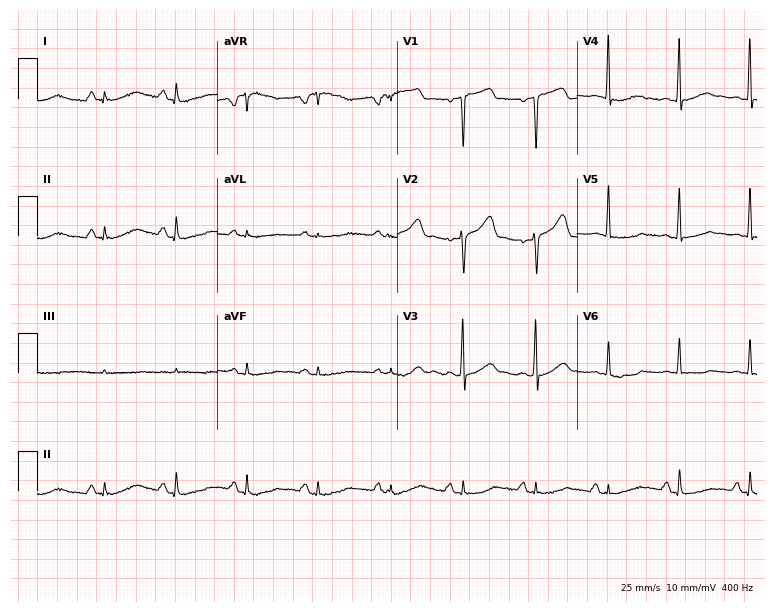
ECG (7.3-second recording at 400 Hz) — a woman, 63 years old. Labelled as a normal ECG.